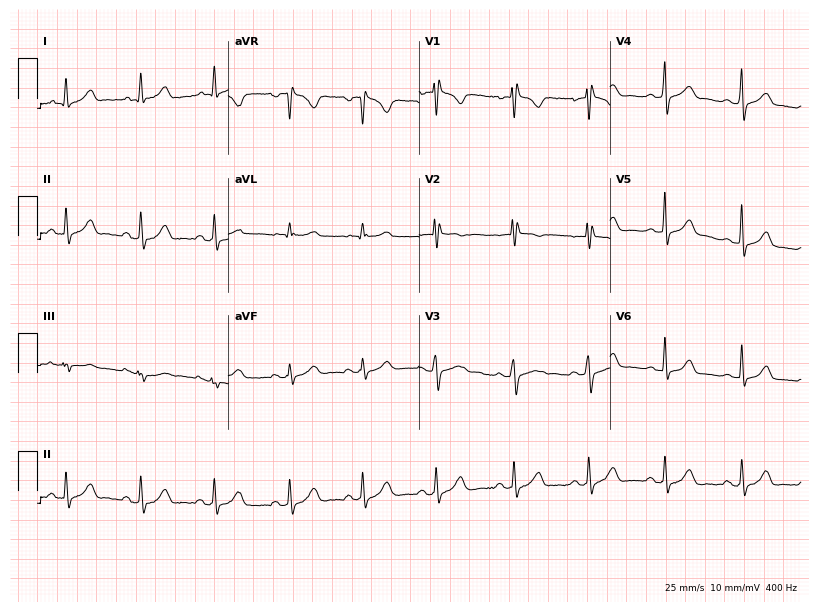
ECG (7.8-second recording at 400 Hz) — a 35-year-old female patient. Labelled as a normal ECG.